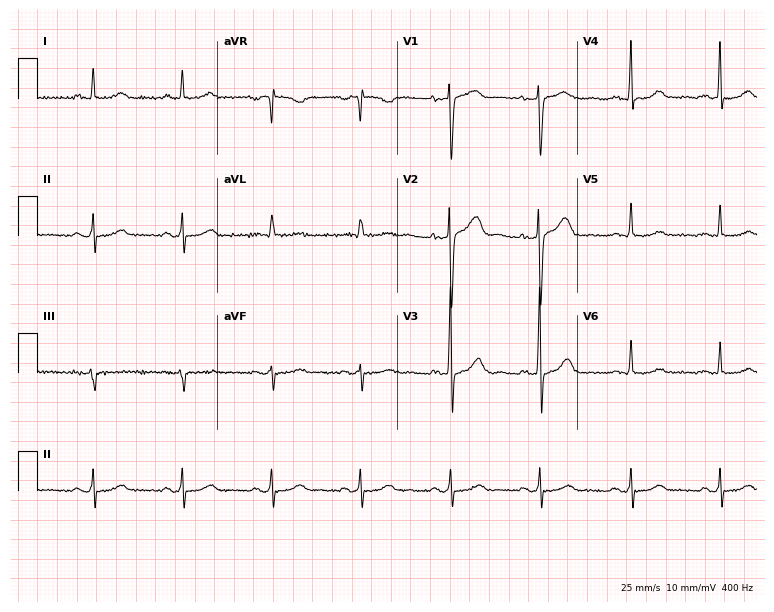
Standard 12-lead ECG recorded from a 69-year-old male patient. Read as a normal ECG.